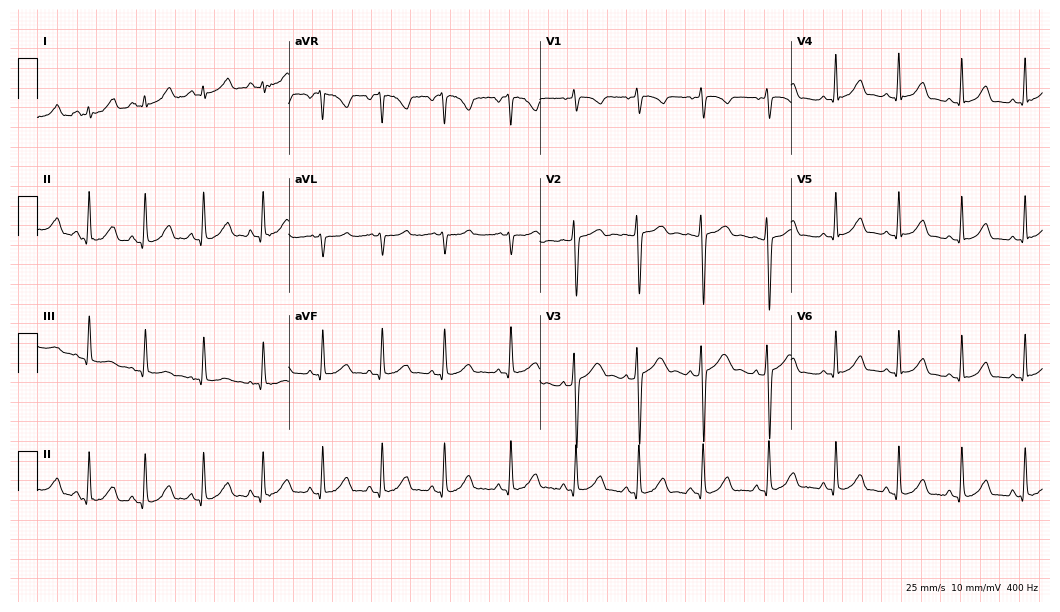
ECG — an 18-year-old female. Labelled as a normal ECG.